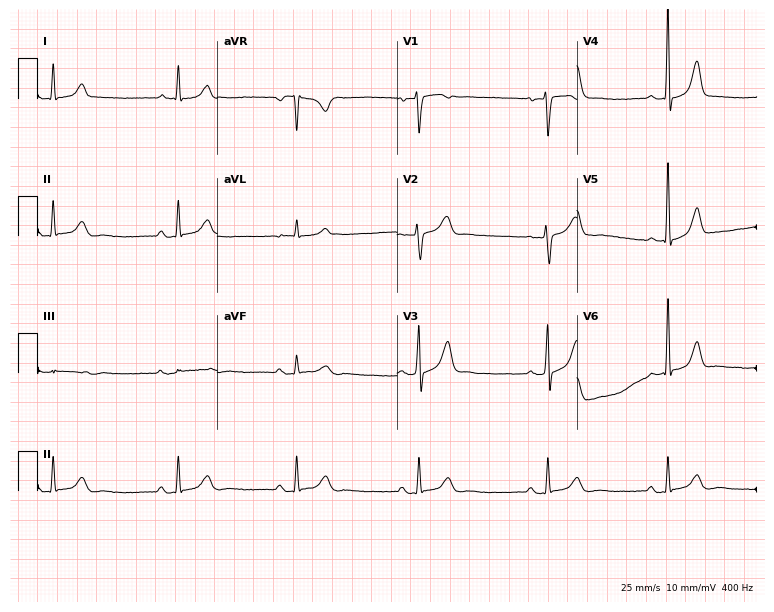
Resting 12-lead electrocardiogram. Patient: a 49-year-old female. The tracing shows sinus bradycardia (a sinus rate of 50 beats per minute or less).